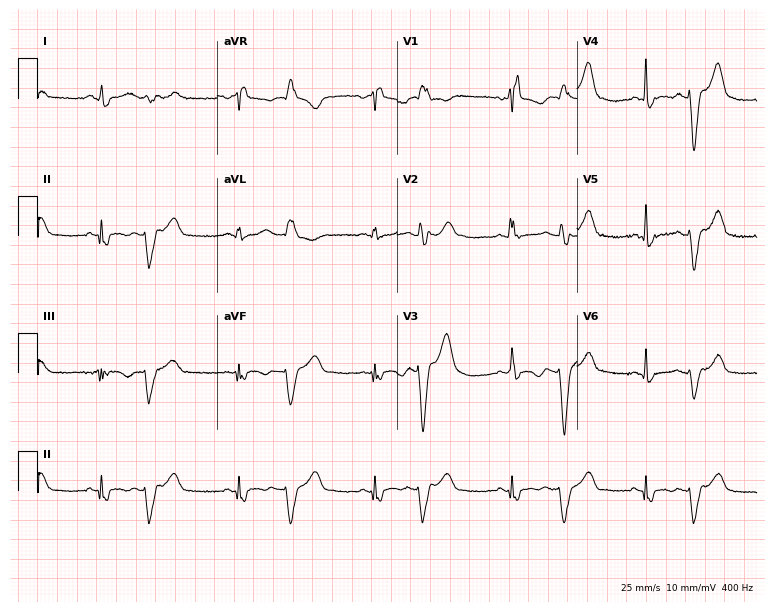
12-lead ECG from a female patient, 51 years old (7.3-second recording at 400 Hz). No first-degree AV block, right bundle branch block, left bundle branch block, sinus bradycardia, atrial fibrillation or sinus tachycardia recorded for this tracing.